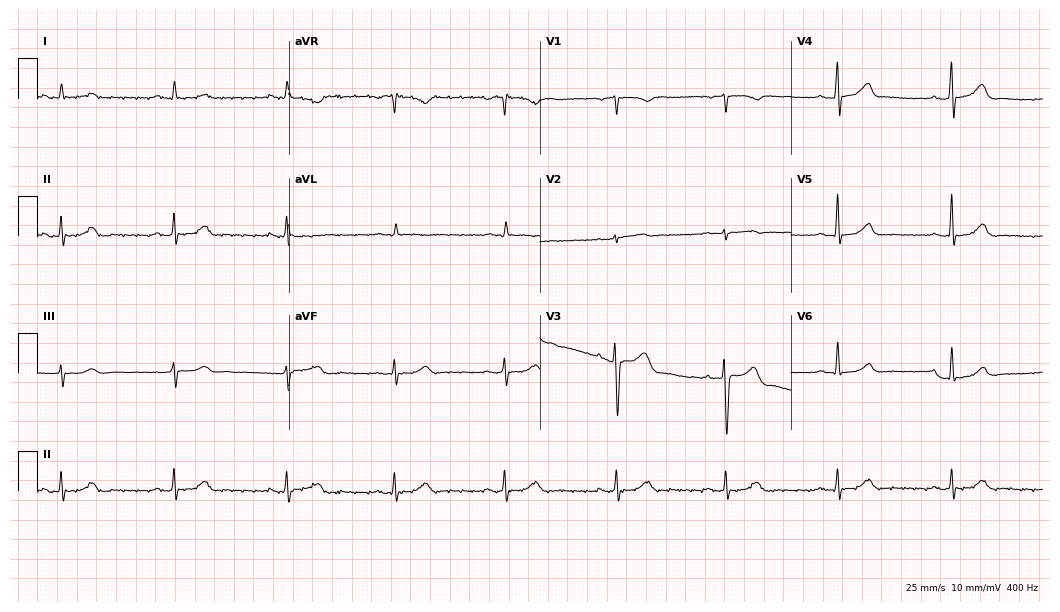
12-lead ECG from a man, 71 years old. No first-degree AV block, right bundle branch block, left bundle branch block, sinus bradycardia, atrial fibrillation or sinus tachycardia recorded for this tracing. Findings outside these six are not listed.